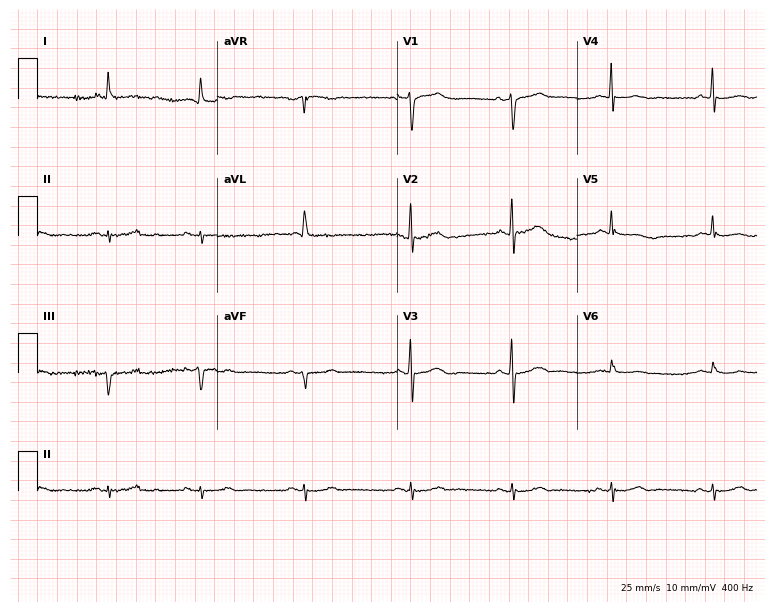
ECG (7.3-second recording at 400 Hz) — a 65-year-old female patient. Screened for six findings — first-degree AV block, right bundle branch block, left bundle branch block, sinus bradycardia, atrial fibrillation, sinus tachycardia — none is recorded.